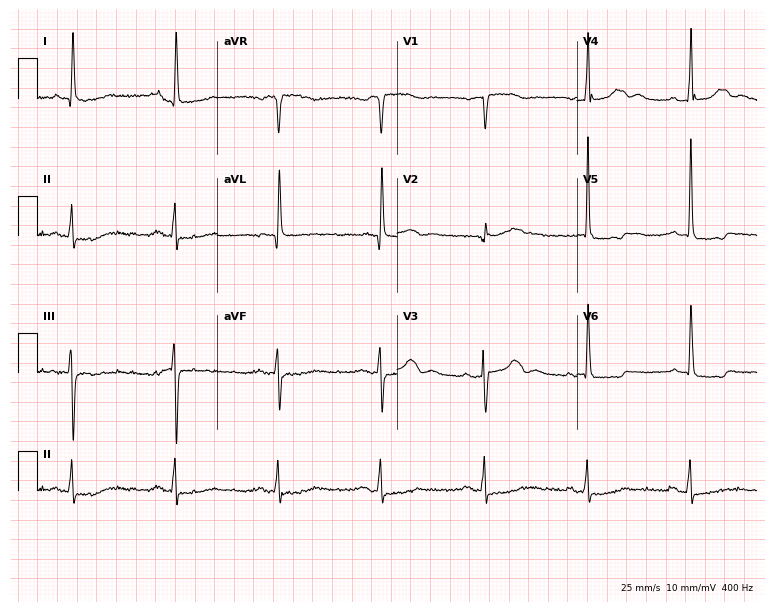
12-lead ECG from a 79-year-old male patient. No first-degree AV block, right bundle branch block, left bundle branch block, sinus bradycardia, atrial fibrillation or sinus tachycardia recorded for this tracing. Findings outside these six are not listed.